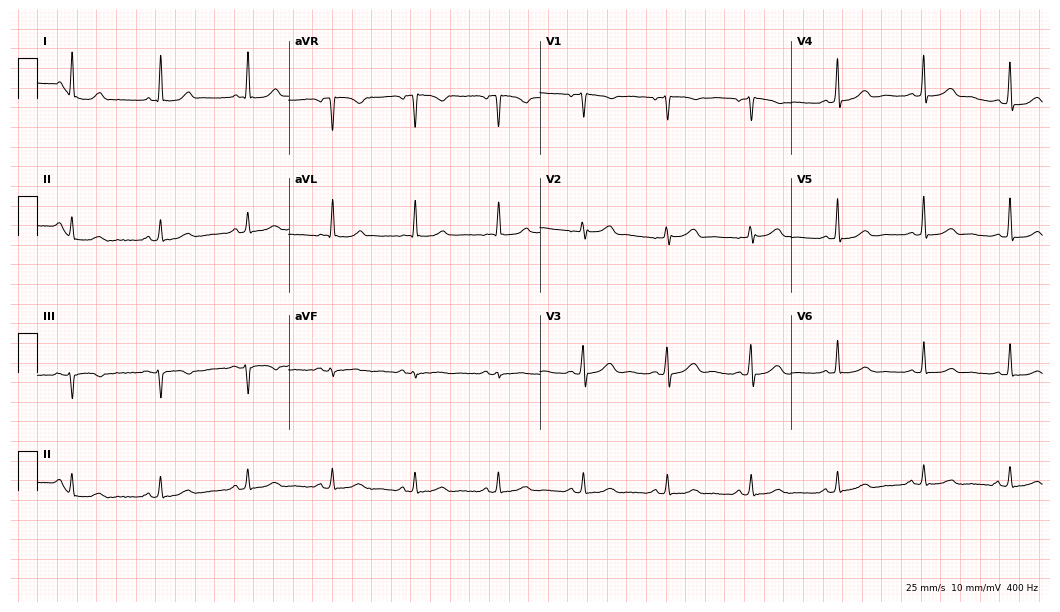
Standard 12-lead ECG recorded from a female patient, 59 years old. Read as a normal ECG.